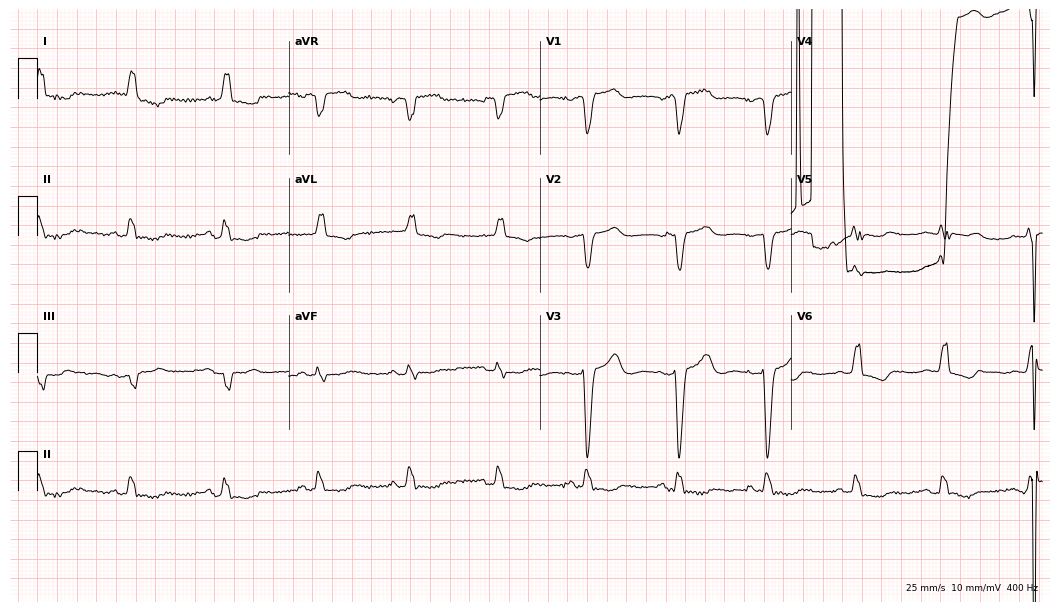
12-lead ECG (10.2-second recording at 400 Hz) from a female patient, 84 years old. Findings include first-degree AV block, left bundle branch block.